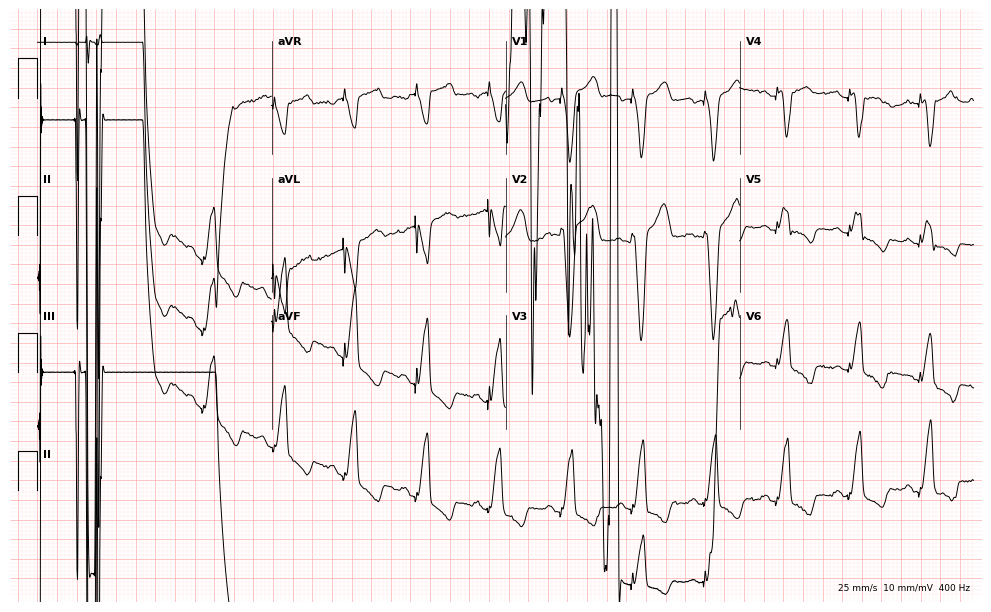
ECG (9.5-second recording at 400 Hz) — a 73-year-old woman. Screened for six findings — first-degree AV block, right bundle branch block, left bundle branch block, sinus bradycardia, atrial fibrillation, sinus tachycardia — none is recorded. Findings outside these six are not listed.